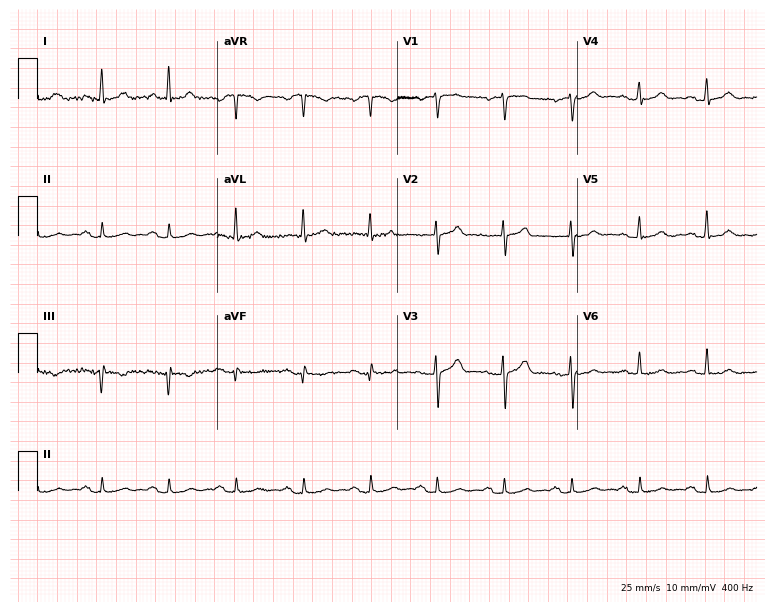
Resting 12-lead electrocardiogram (7.3-second recording at 400 Hz). Patient: a male, 63 years old. None of these six findings is recorded: first-degree AV block, right bundle branch block, left bundle branch block, sinus bradycardia, atrial fibrillation, sinus tachycardia. Findings outside these six are not listed.